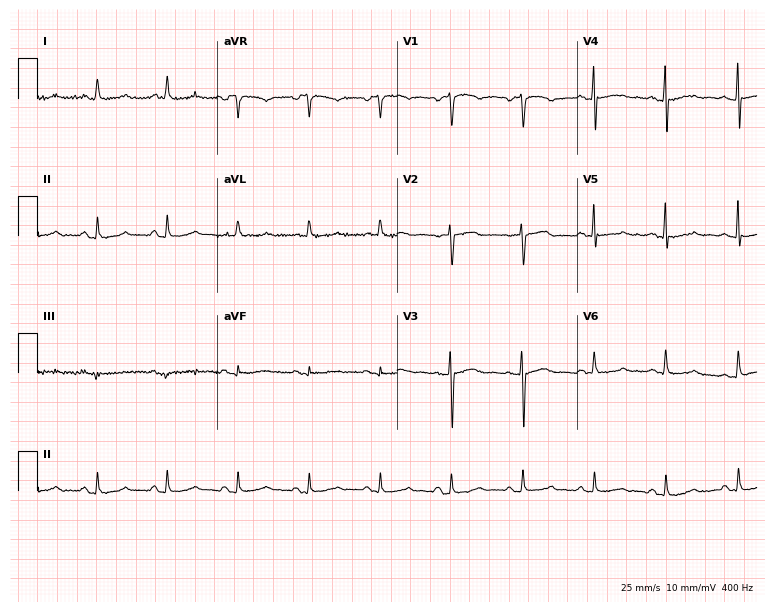
Standard 12-lead ECG recorded from a female, 57 years old. Read as a normal ECG.